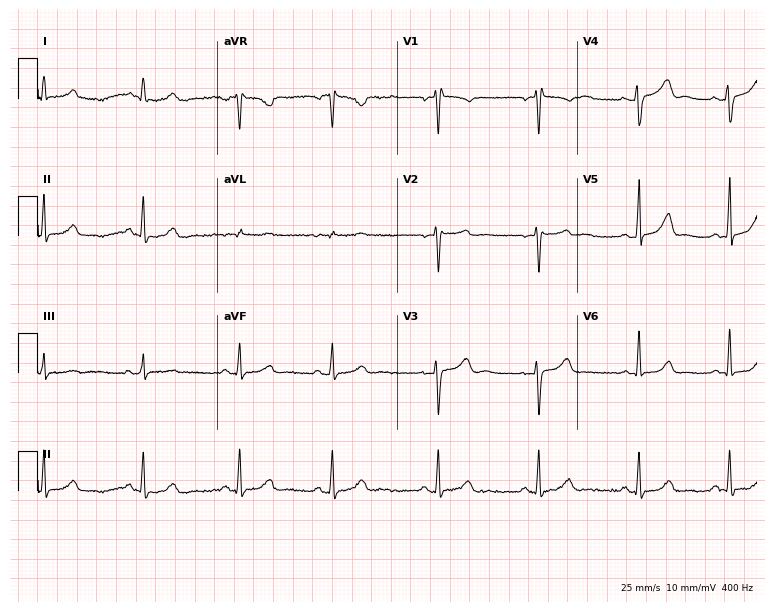
12-lead ECG (7.3-second recording at 400 Hz) from a 29-year-old woman. Screened for six findings — first-degree AV block, right bundle branch block, left bundle branch block, sinus bradycardia, atrial fibrillation, sinus tachycardia — none is recorded.